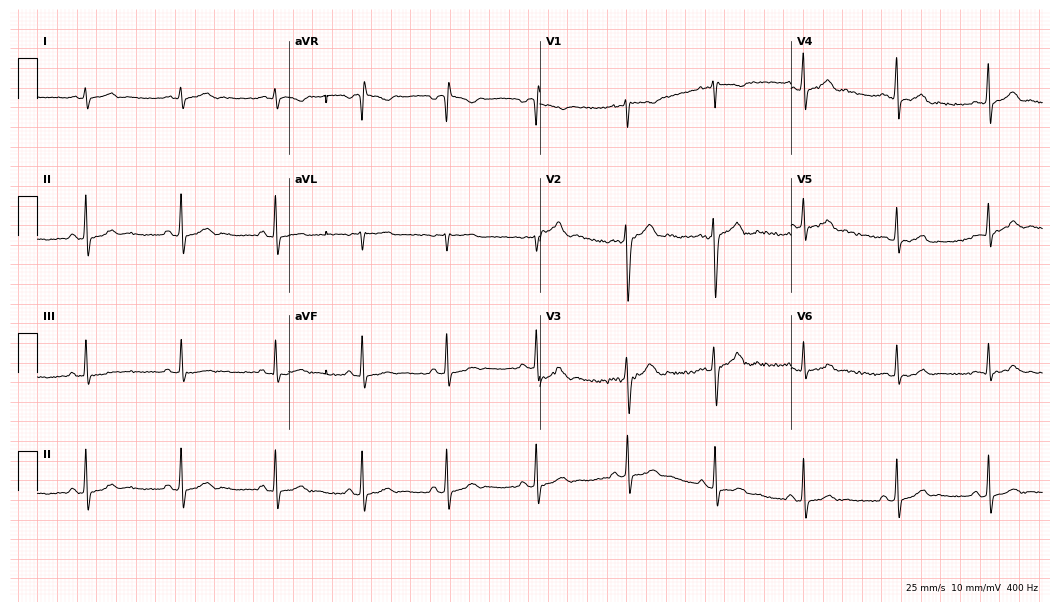
Standard 12-lead ECG recorded from a 19-year-old male (10.2-second recording at 400 Hz). Read as a normal ECG.